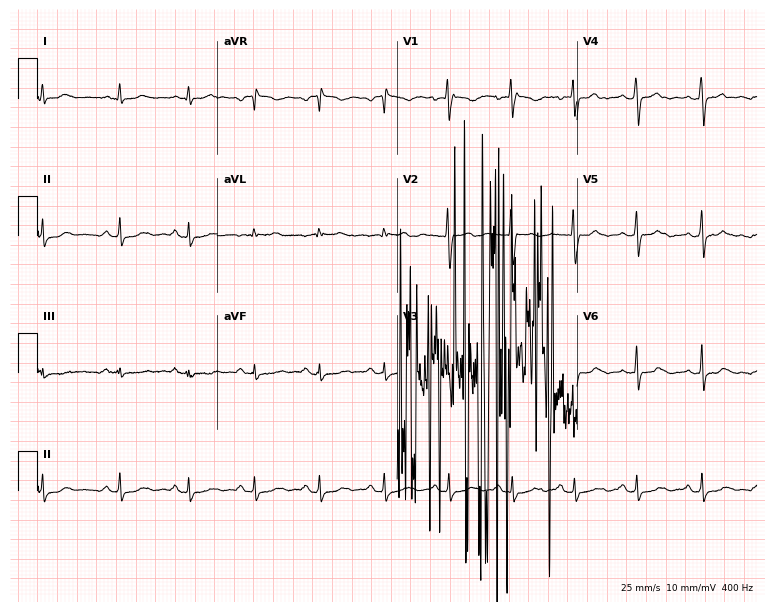
Resting 12-lead electrocardiogram (7.3-second recording at 400 Hz). Patient: a female, 26 years old. None of these six findings is recorded: first-degree AV block, right bundle branch block, left bundle branch block, sinus bradycardia, atrial fibrillation, sinus tachycardia. Other findings, if any, are not listed.